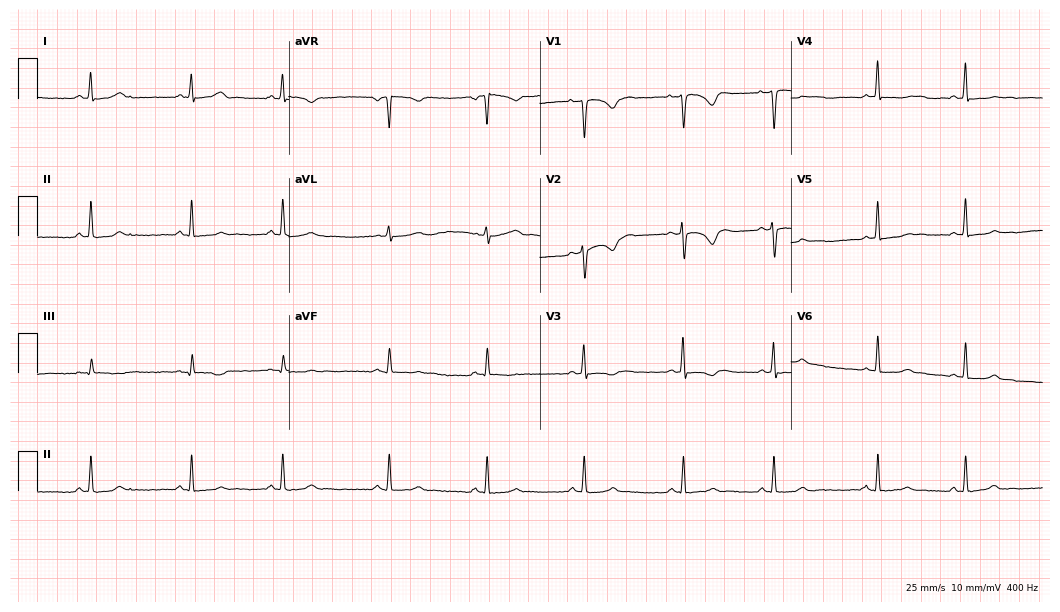
12-lead ECG (10.2-second recording at 400 Hz) from a woman, 26 years old. Screened for six findings — first-degree AV block, right bundle branch block, left bundle branch block, sinus bradycardia, atrial fibrillation, sinus tachycardia — none is recorded.